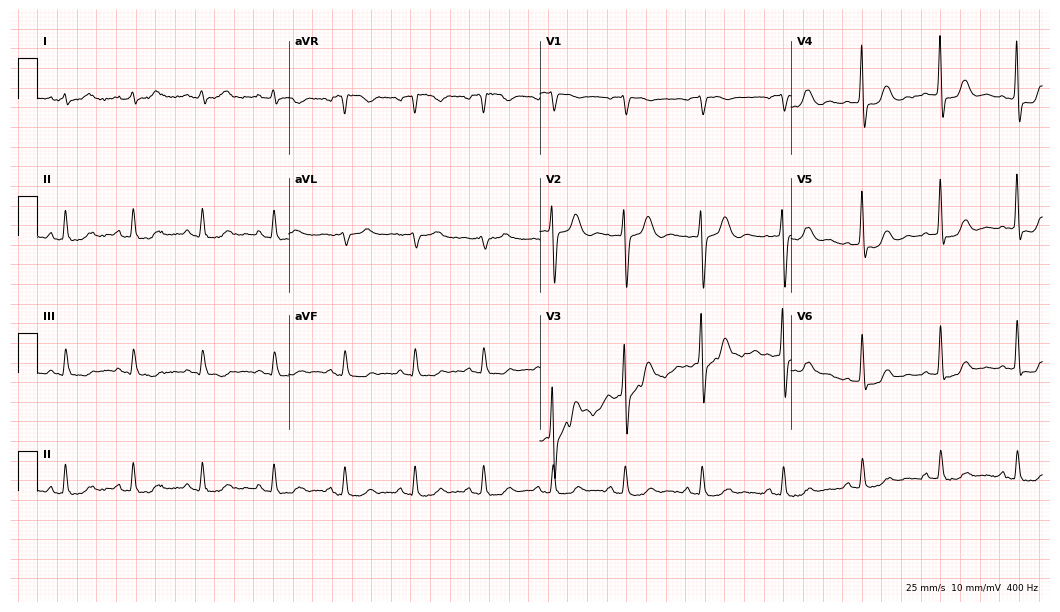
12-lead ECG (10.2-second recording at 400 Hz) from a woman, 78 years old. Labelled as a normal ECG.